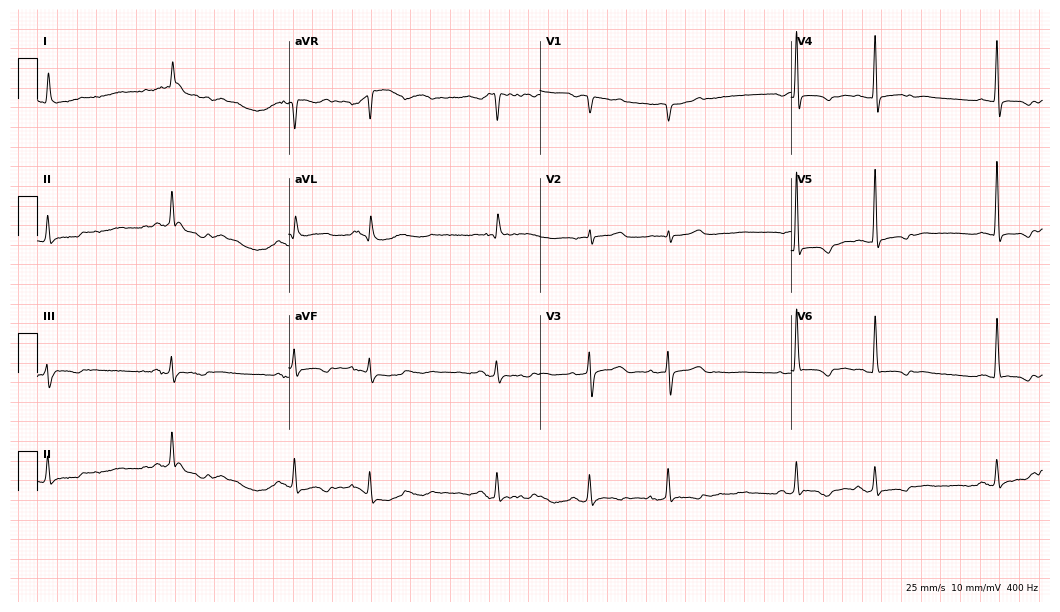
12-lead ECG from a 77-year-old man (10.2-second recording at 400 Hz). No first-degree AV block, right bundle branch block, left bundle branch block, sinus bradycardia, atrial fibrillation or sinus tachycardia recorded for this tracing.